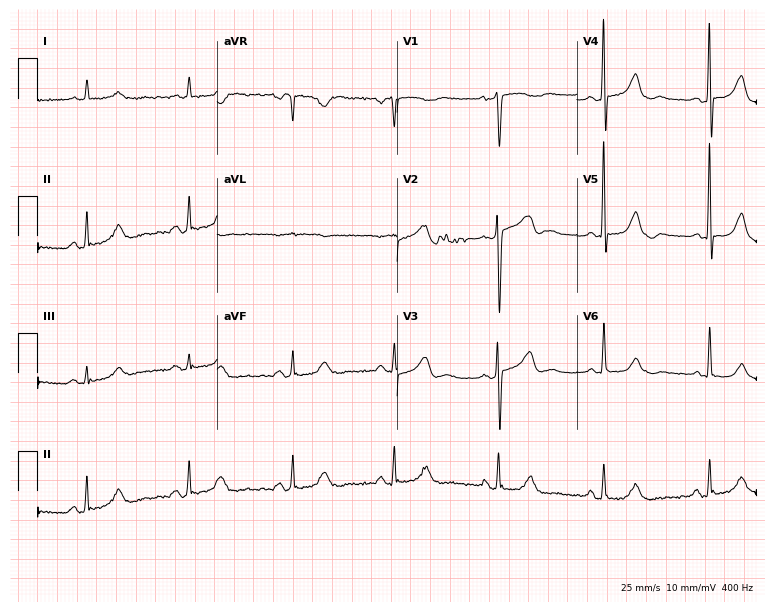
Electrocardiogram (7.3-second recording at 400 Hz), a 68-year-old female patient. Of the six screened findings (first-degree AV block, right bundle branch block, left bundle branch block, sinus bradycardia, atrial fibrillation, sinus tachycardia), none is recorded.